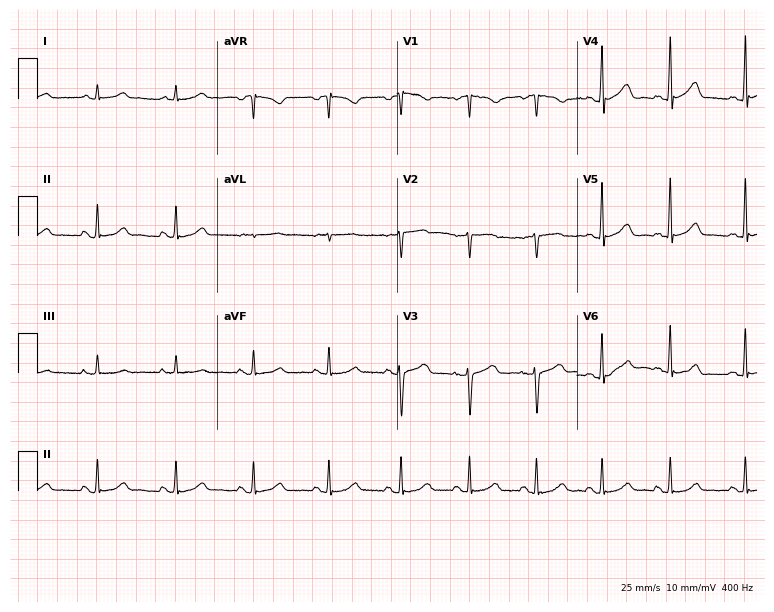
ECG — a 50-year-old female. Labelled as a normal ECG.